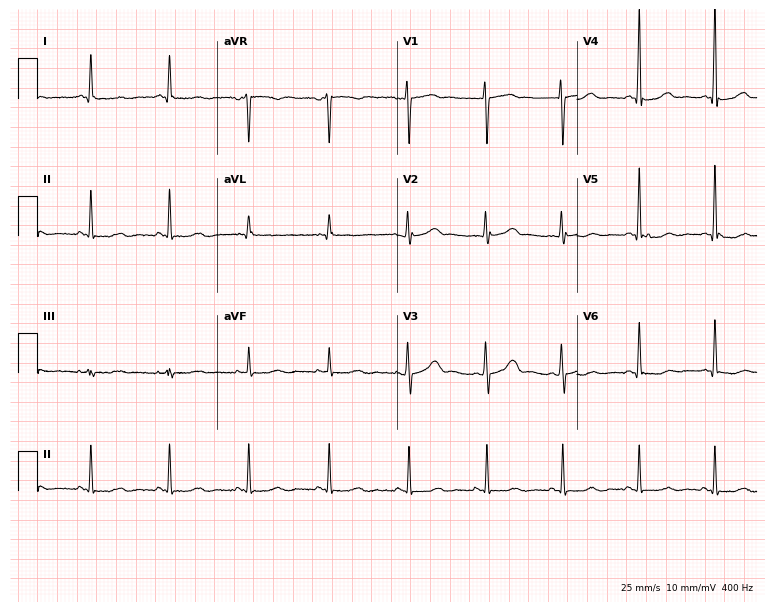
12-lead ECG from a female, 53 years old (7.3-second recording at 400 Hz). No first-degree AV block, right bundle branch block, left bundle branch block, sinus bradycardia, atrial fibrillation or sinus tachycardia recorded for this tracing.